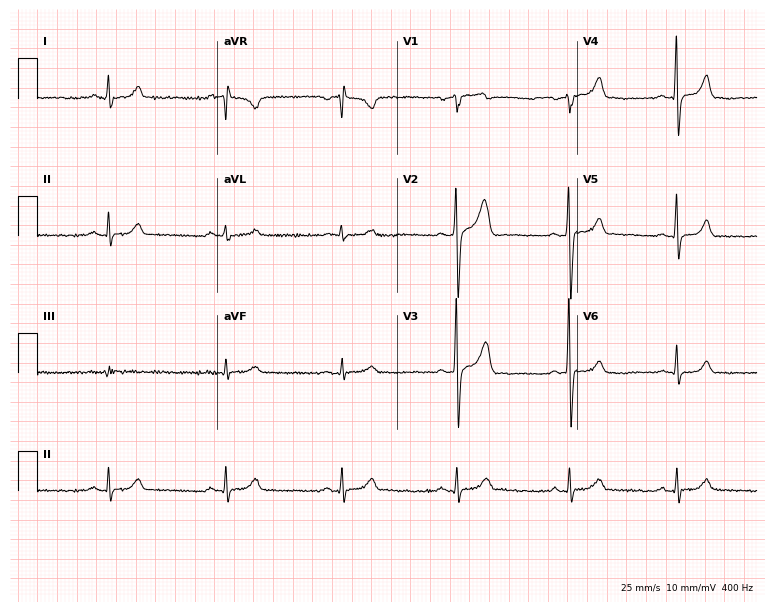
Electrocardiogram (7.3-second recording at 400 Hz), a male patient, 52 years old. Of the six screened findings (first-degree AV block, right bundle branch block, left bundle branch block, sinus bradycardia, atrial fibrillation, sinus tachycardia), none is recorded.